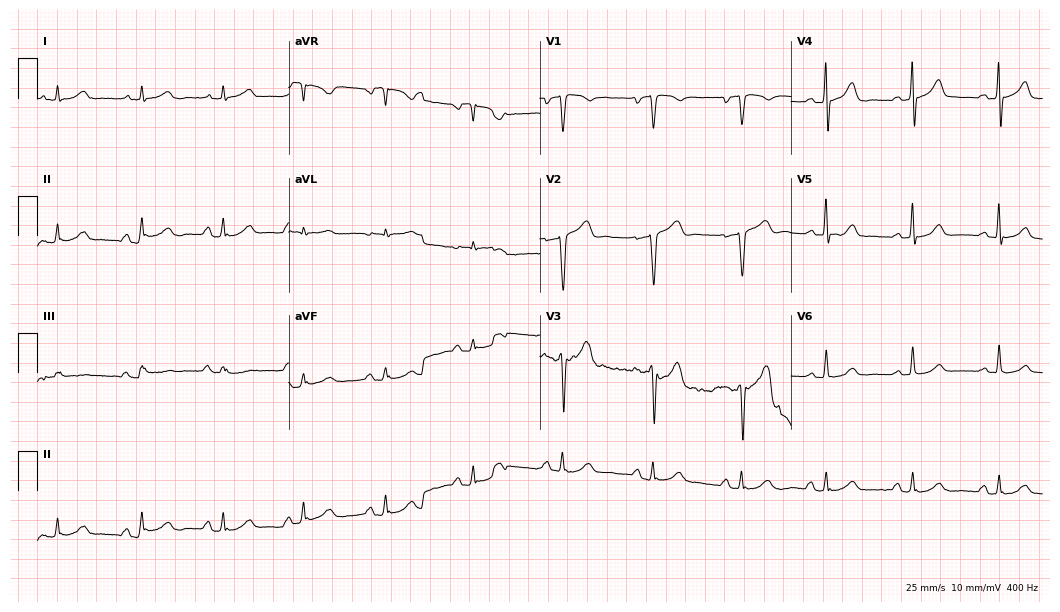
12-lead ECG from a 48-year-old man. No first-degree AV block, right bundle branch block, left bundle branch block, sinus bradycardia, atrial fibrillation or sinus tachycardia recorded for this tracing. Findings outside these six are not listed.